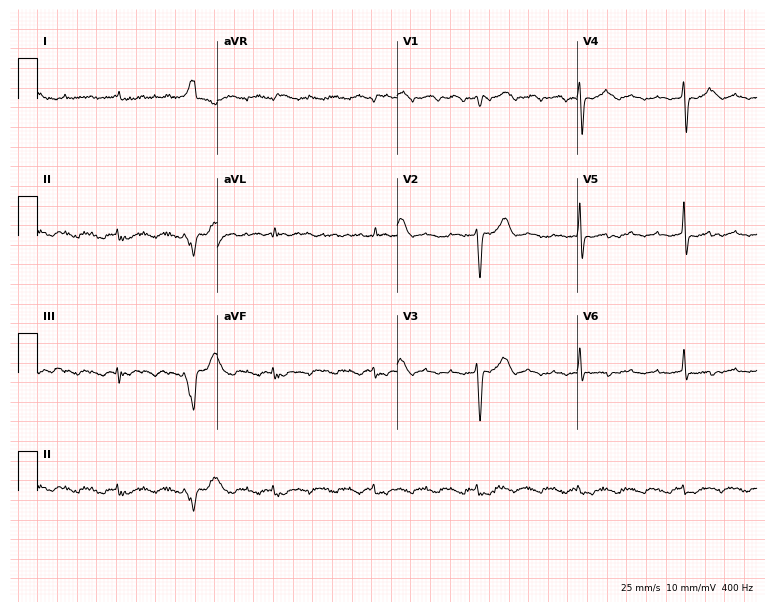
12-lead ECG from a 75-year-old male. No first-degree AV block, right bundle branch block, left bundle branch block, sinus bradycardia, atrial fibrillation or sinus tachycardia recorded for this tracing. Other findings, if any, are not listed.